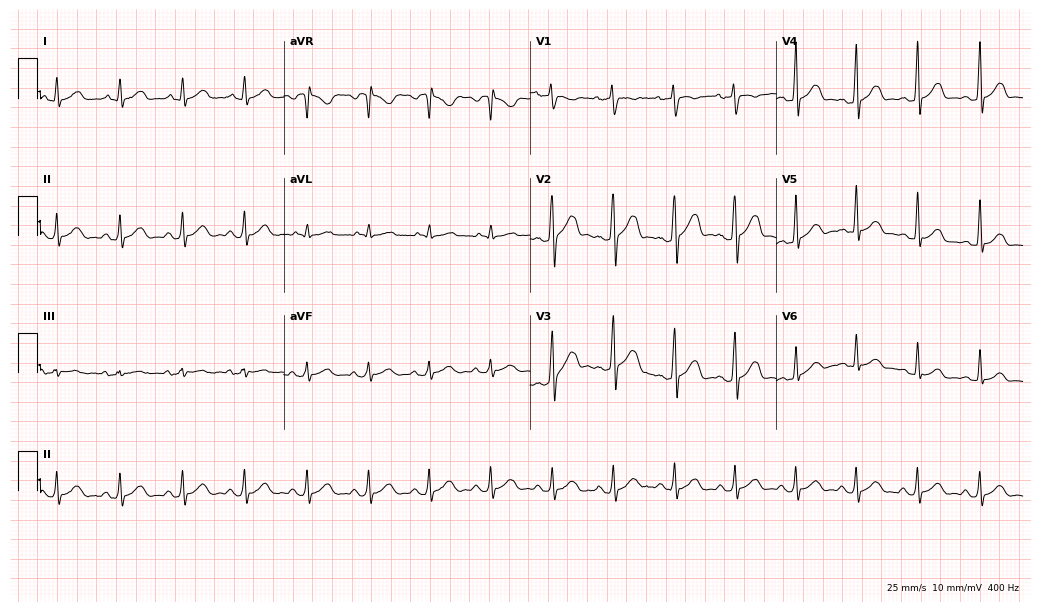
ECG (10-second recording at 400 Hz) — a male, 29 years old. Labelled as a normal ECG.